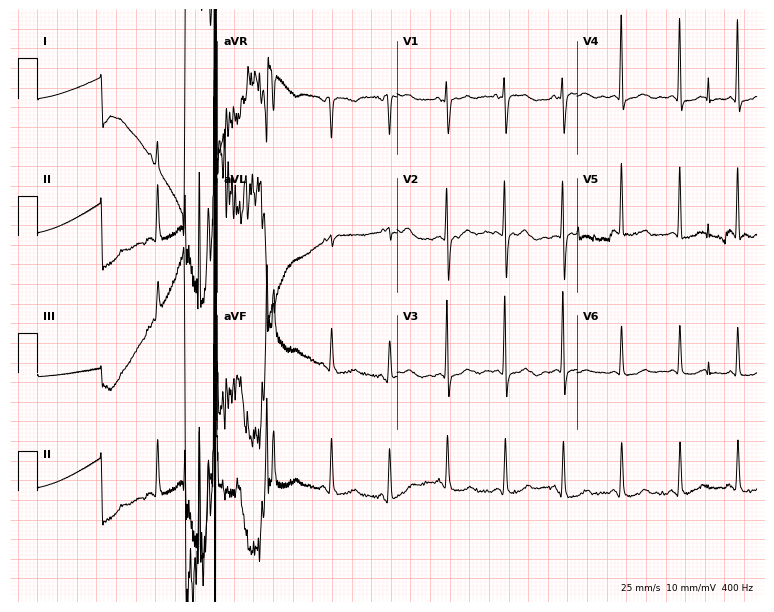
Resting 12-lead electrocardiogram. Patient: a 78-year-old female. None of these six findings is recorded: first-degree AV block, right bundle branch block, left bundle branch block, sinus bradycardia, atrial fibrillation, sinus tachycardia.